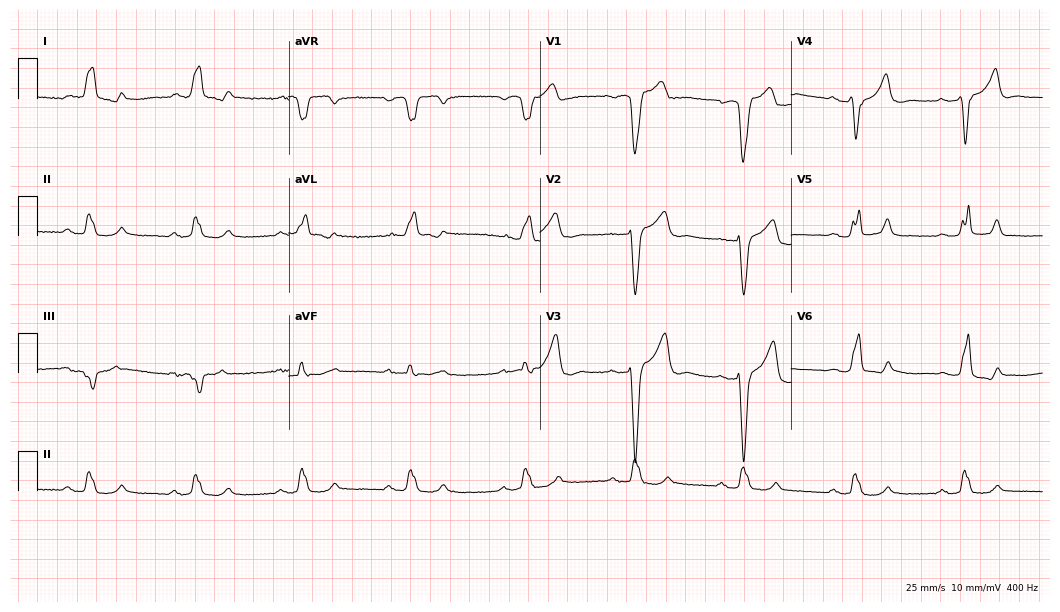
Resting 12-lead electrocardiogram (10.2-second recording at 400 Hz). Patient: a 72-year-old man. None of these six findings is recorded: first-degree AV block, right bundle branch block, left bundle branch block, sinus bradycardia, atrial fibrillation, sinus tachycardia. Only these six findings were labelled.